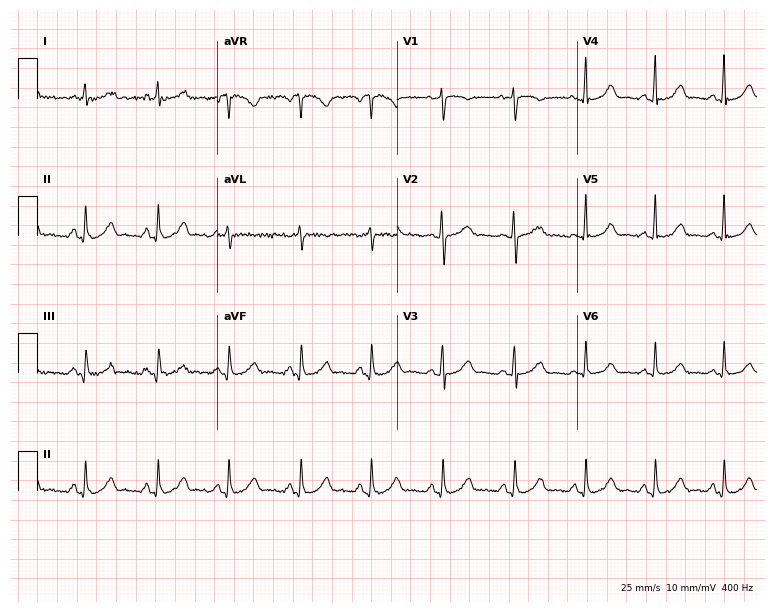
Resting 12-lead electrocardiogram (7.3-second recording at 400 Hz). Patient: a female, 35 years old. Read as a normal ECG.